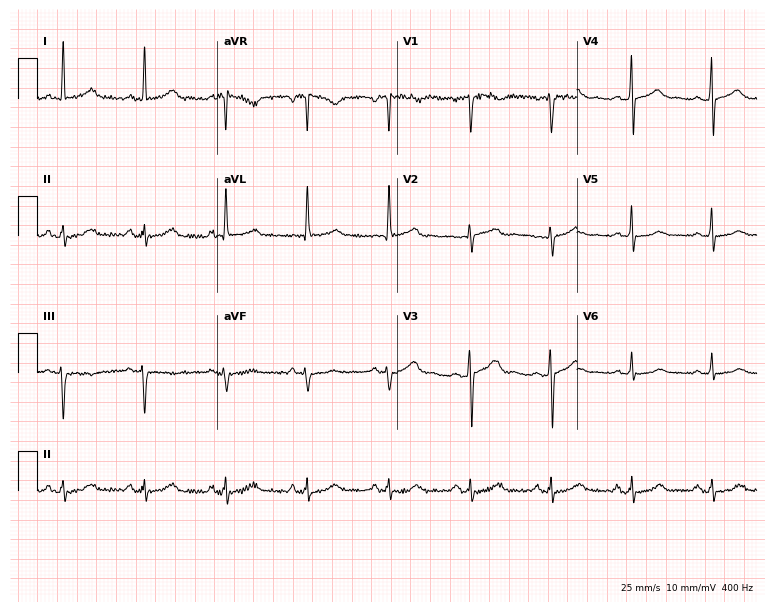
ECG — a 57-year-old woman. Labelled as a normal ECG.